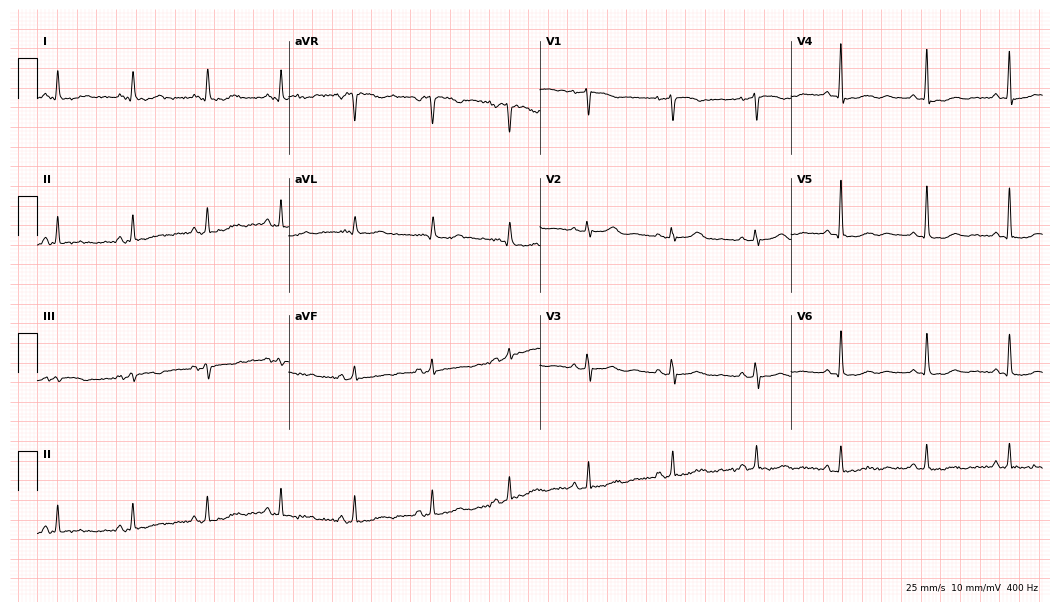
Standard 12-lead ECG recorded from a female, 61 years old (10.2-second recording at 400 Hz). Read as a normal ECG.